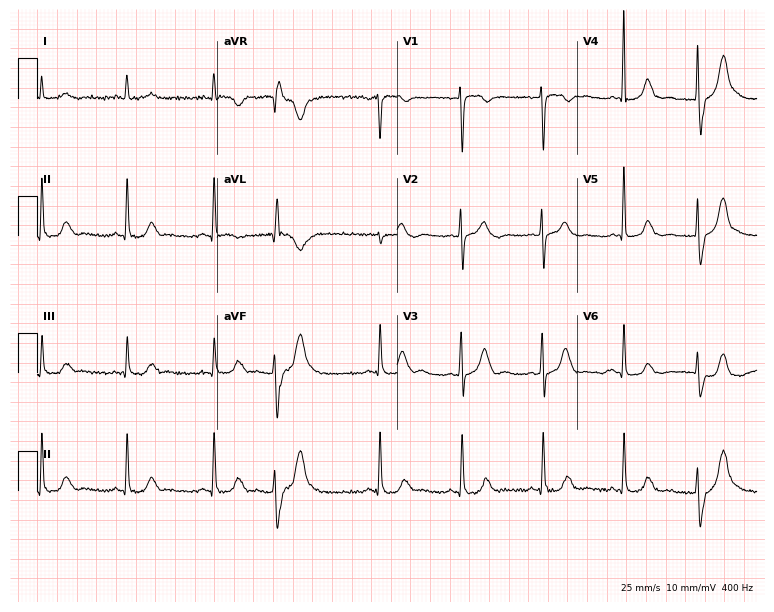
12-lead ECG from a woman, 41 years old. Screened for six findings — first-degree AV block, right bundle branch block, left bundle branch block, sinus bradycardia, atrial fibrillation, sinus tachycardia — none is recorded. Findings outside these six are not listed.